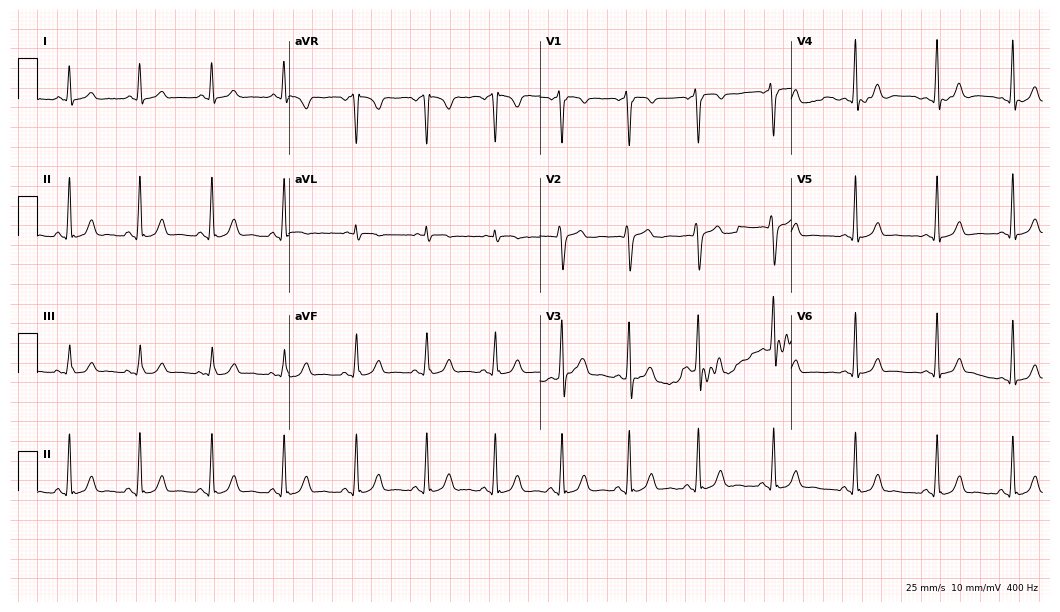
Electrocardiogram, a 21-year-old man. Overall reading on record: normal ECG.